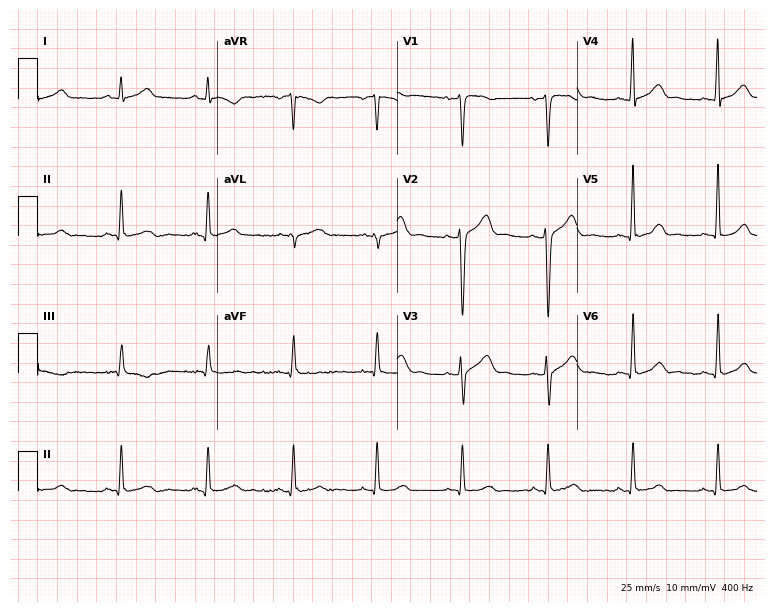
12-lead ECG from a man, 54 years old. Recorded interpretation: within normal limits.